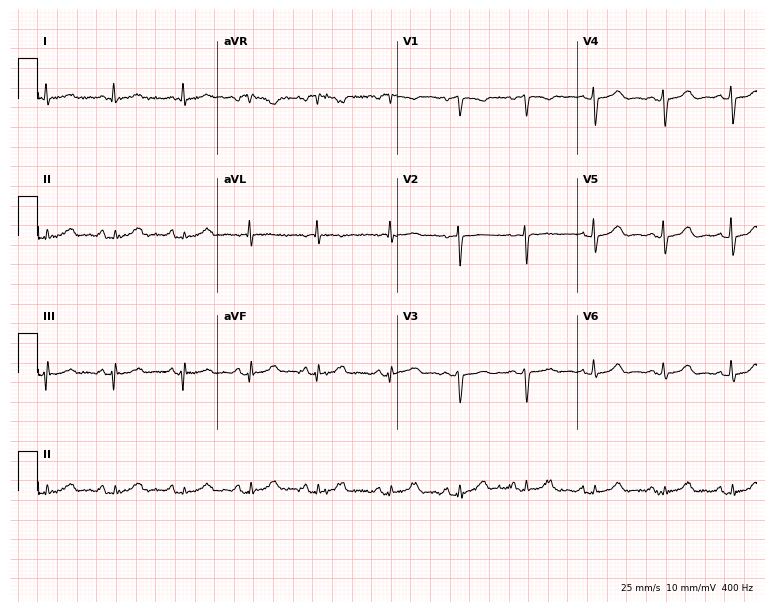
Resting 12-lead electrocardiogram (7.3-second recording at 400 Hz). Patient: a 63-year-old woman. Read as a normal ECG.